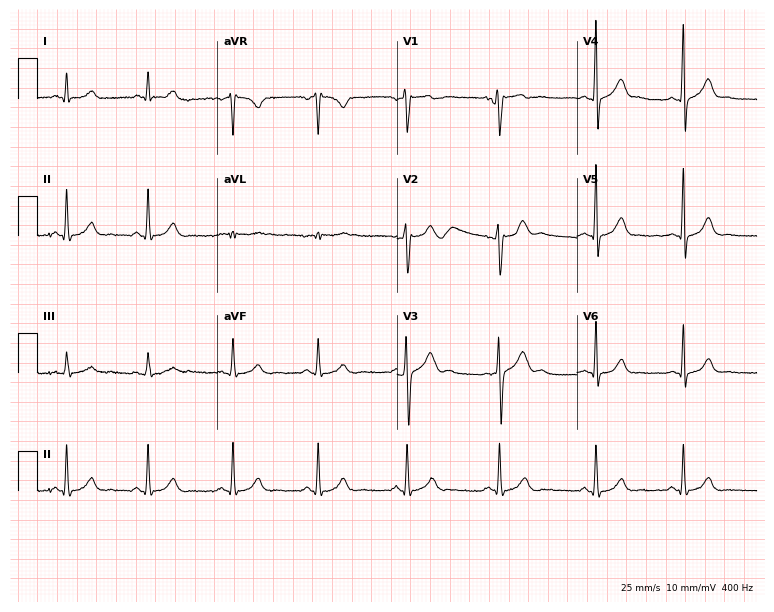
12-lead ECG from a female patient, 20 years old (7.3-second recording at 400 Hz). Recorded interpretation: within normal limits.